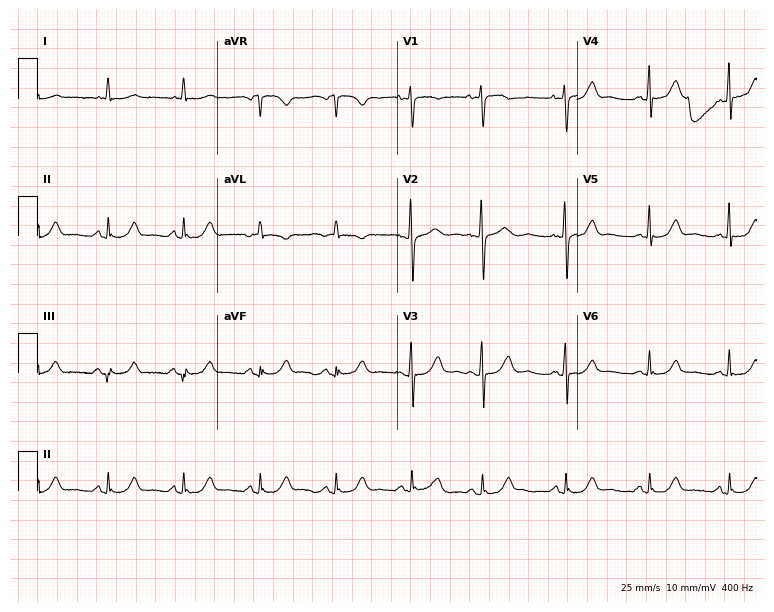
Resting 12-lead electrocardiogram (7.3-second recording at 400 Hz). Patient: a woman, 59 years old. Read as a normal ECG.